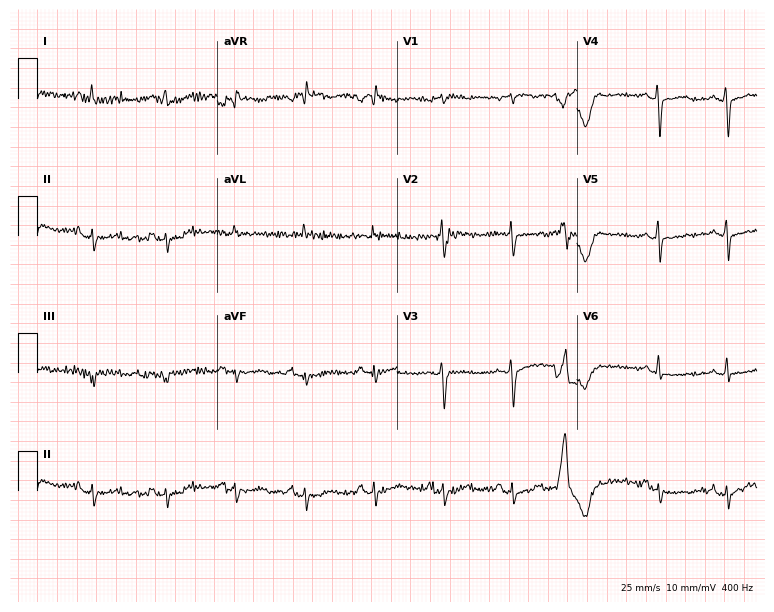
12-lead ECG from a female patient, 63 years old (7.3-second recording at 400 Hz). No first-degree AV block, right bundle branch block (RBBB), left bundle branch block (LBBB), sinus bradycardia, atrial fibrillation (AF) or sinus tachycardia recorded for this tracing.